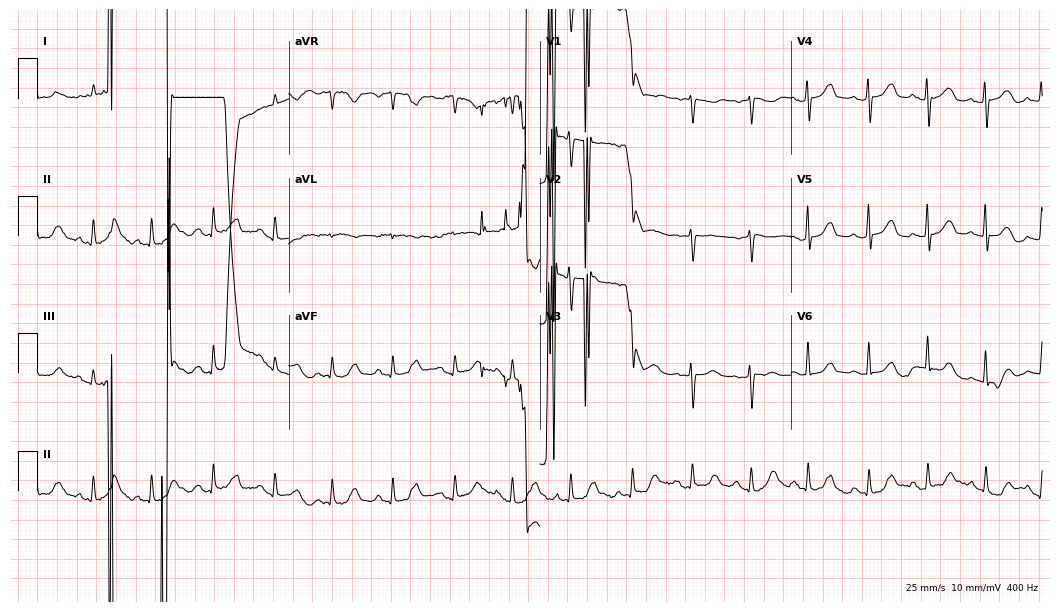
Resting 12-lead electrocardiogram (10.2-second recording at 400 Hz). Patient: a female, 81 years old. None of these six findings is recorded: first-degree AV block, right bundle branch block, left bundle branch block, sinus bradycardia, atrial fibrillation, sinus tachycardia.